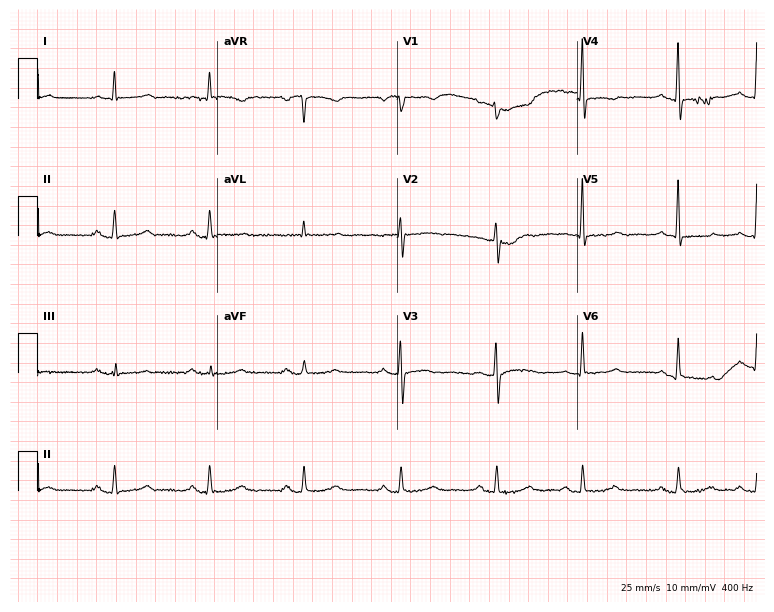
12-lead ECG (7.3-second recording at 400 Hz) from a female, 61 years old. Labelled as a normal ECG.